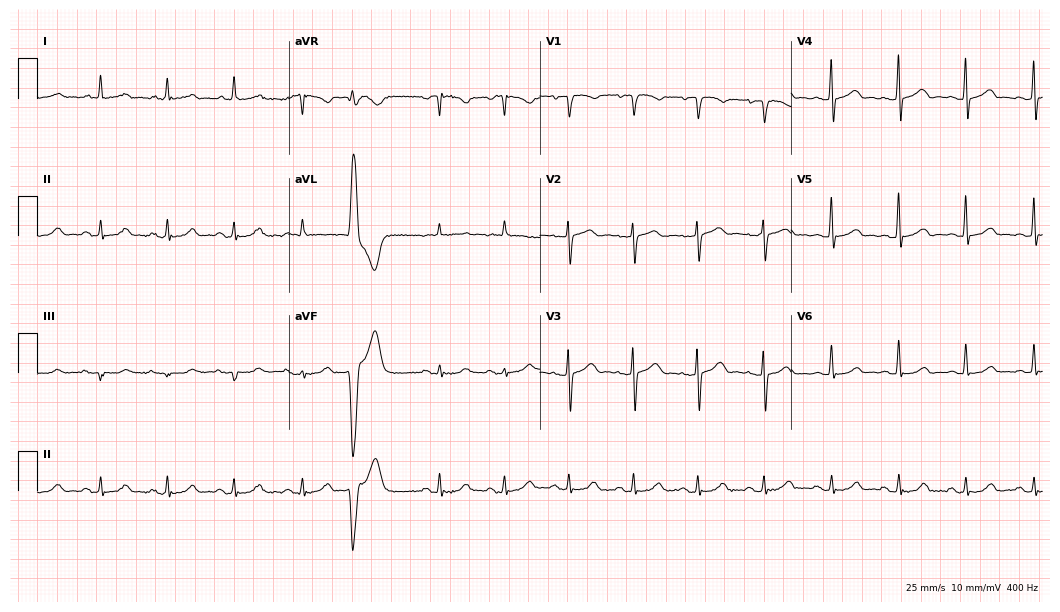
Standard 12-lead ECG recorded from a female, 48 years old. None of these six findings is recorded: first-degree AV block, right bundle branch block (RBBB), left bundle branch block (LBBB), sinus bradycardia, atrial fibrillation (AF), sinus tachycardia. Other findings, if any, are not listed.